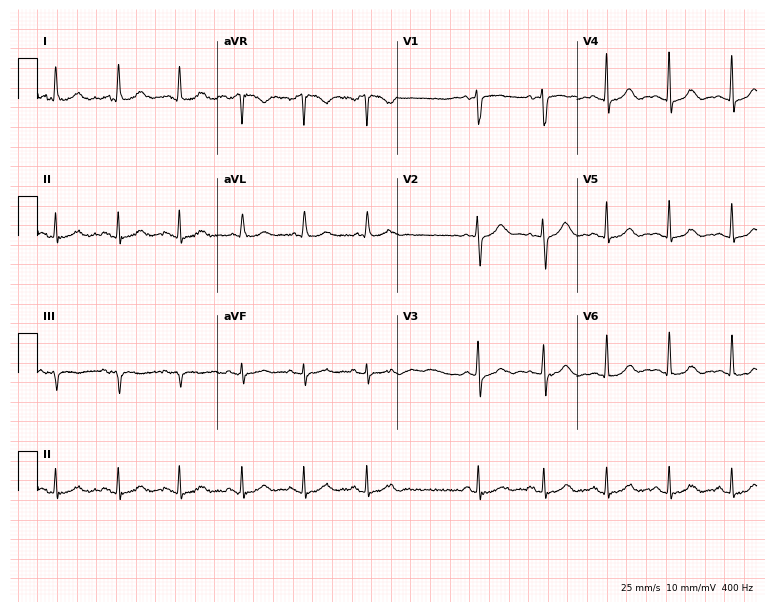
Standard 12-lead ECG recorded from a female patient, 69 years old (7.3-second recording at 400 Hz). None of these six findings is recorded: first-degree AV block, right bundle branch block (RBBB), left bundle branch block (LBBB), sinus bradycardia, atrial fibrillation (AF), sinus tachycardia.